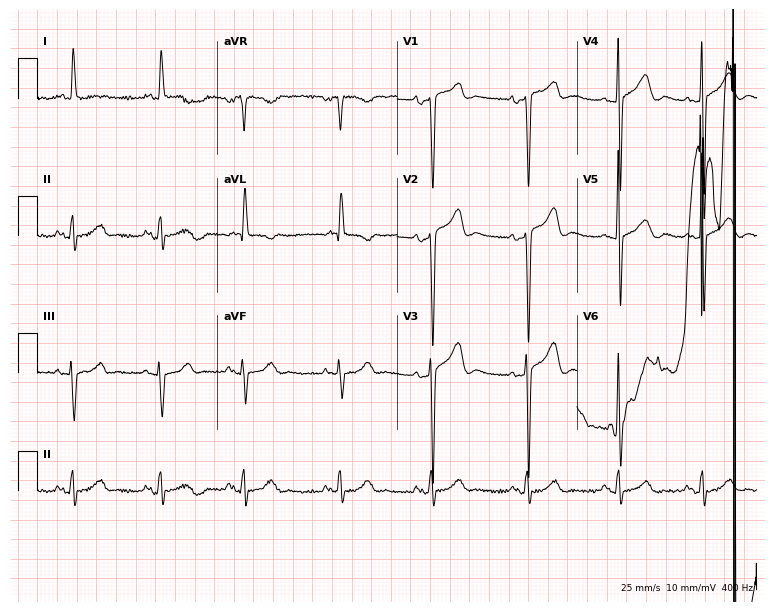
Resting 12-lead electrocardiogram (7.3-second recording at 400 Hz). Patient: a female, 77 years old. None of these six findings is recorded: first-degree AV block, right bundle branch block, left bundle branch block, sinus bradycardia, atrial fibrillation, sinus tachycardia.